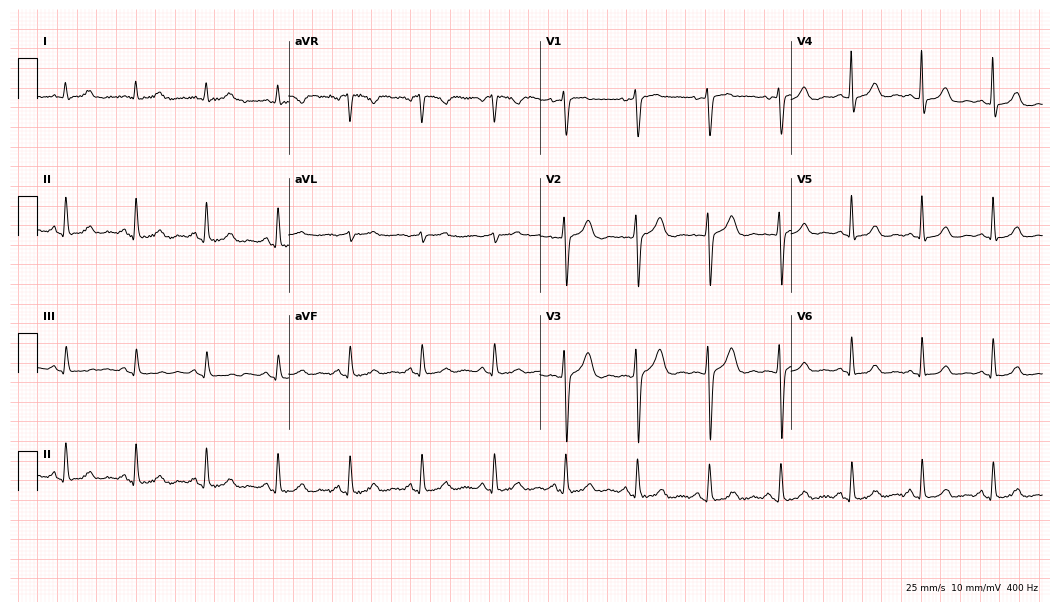
12-lead ECG (10.2-second recording at 400 Hz) from a 34-year-old woman. Labelled as a normal ECG.